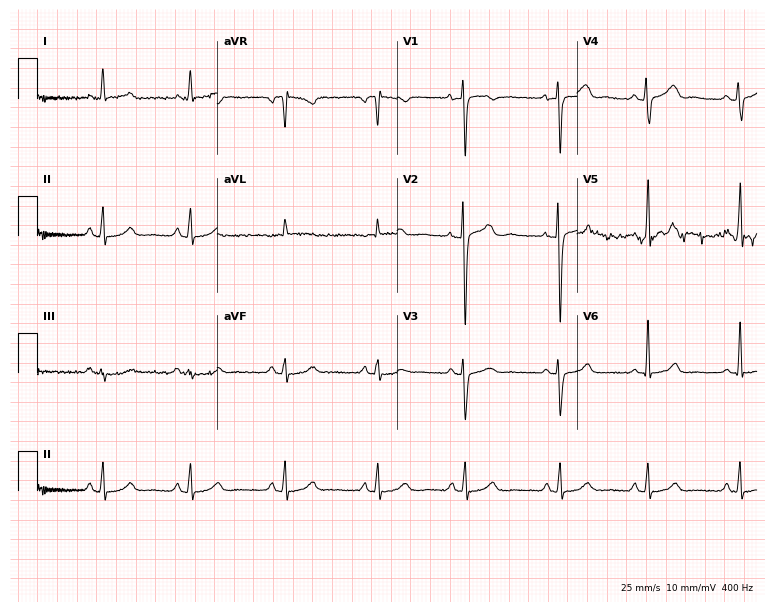
ECG (7.3-second recording at 400 Hz) — a 34-year-old woman. Labelled as a normal ECG.